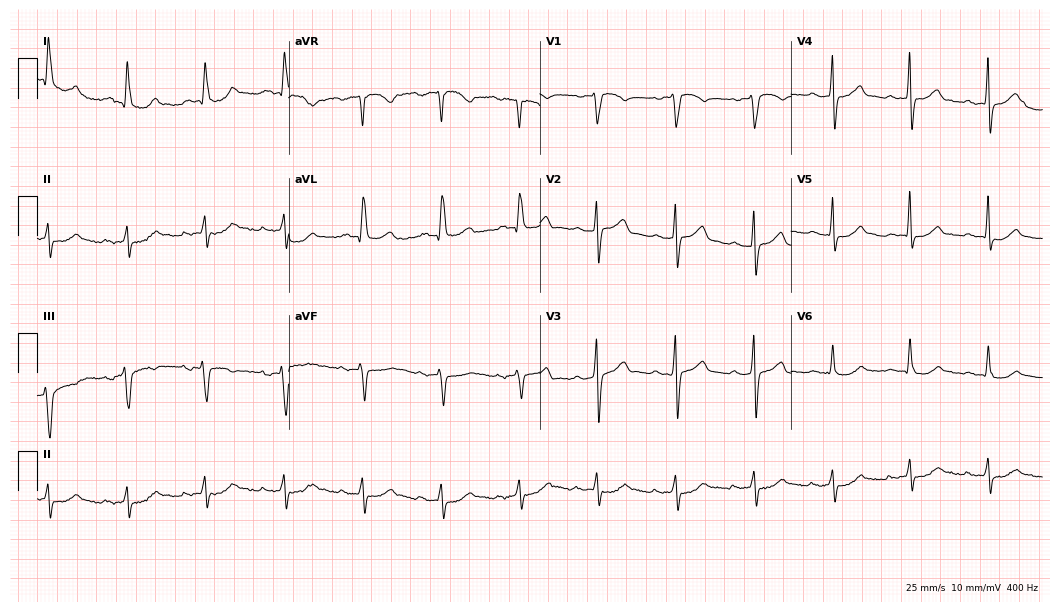
ECG (10.2-second recording at 400 Hz) — a man, 61 years old. Screened for six findings — first-degree AV block, right bundle branch block (RBBB), left bundle branch block (LBBB), sinus bradycardia, atrial fibrillation (AF), sinus tachycardia — none is recorded.